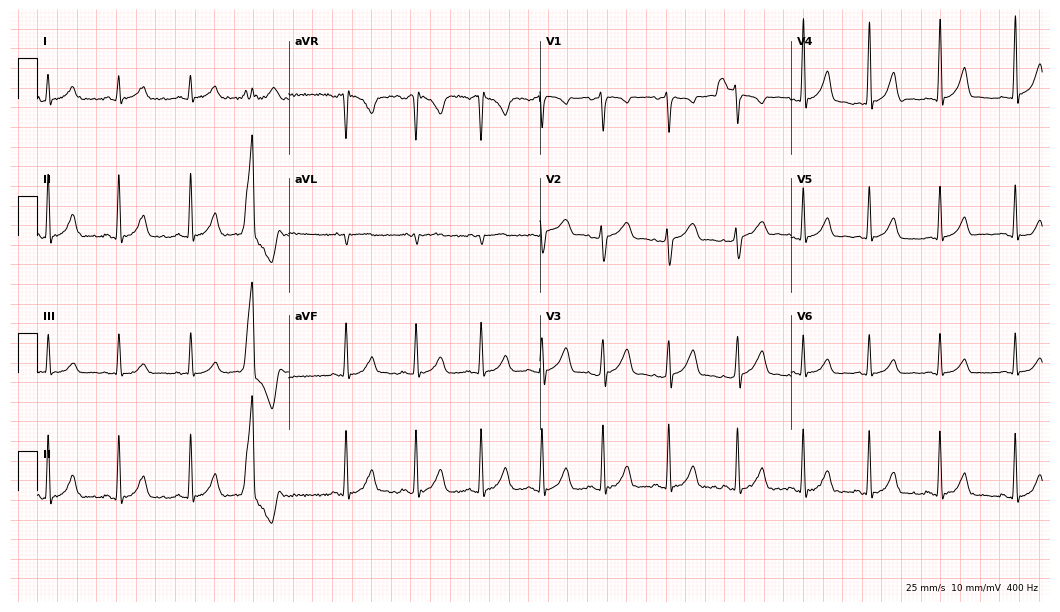
Resting 12-lead electrocardiogram (10.2-second recording at 400 Hz). Patient: a woman, 34 years old. Read as a normal ECG.